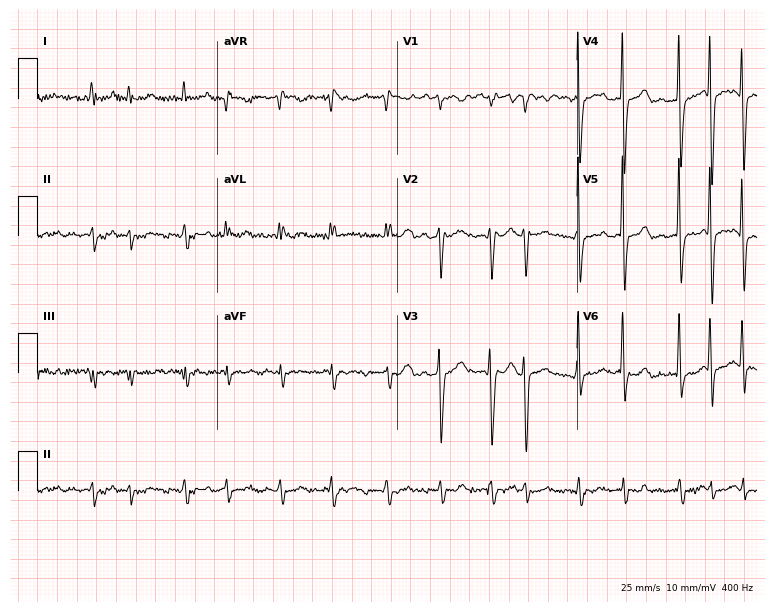
Electrocardiogram, a male, 87 years old. Interpretation includes atrial fibrillation.